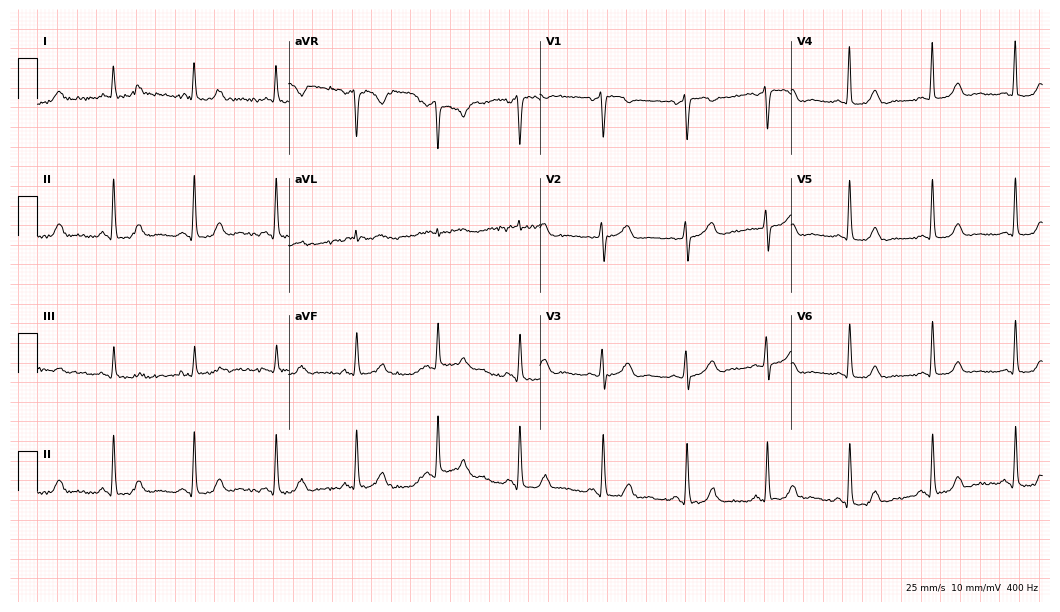
ECG — an 83-year-old female. Labelled as a normal ECG.